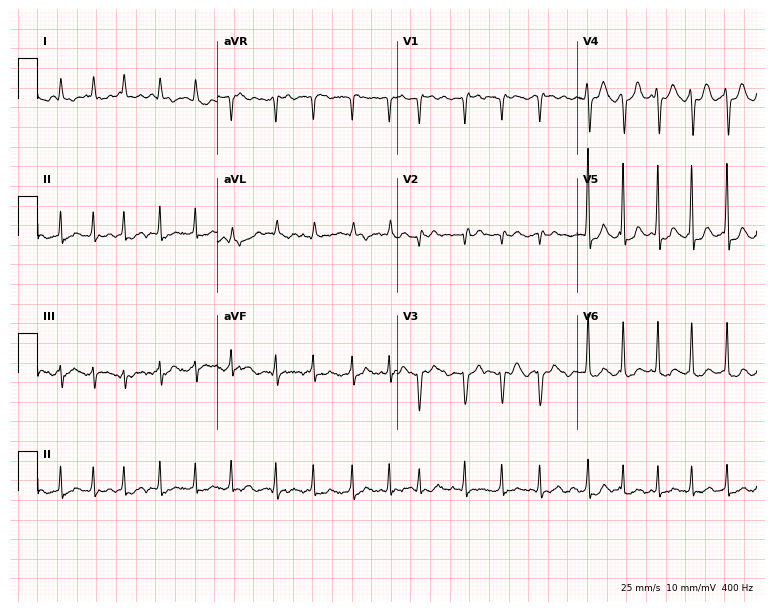
Resting 12-lead electrocardiogram (7.3-second recording at 400 Hz). Patient: a male, 84 years old. The tracing shows atrial fibrillation (AF).